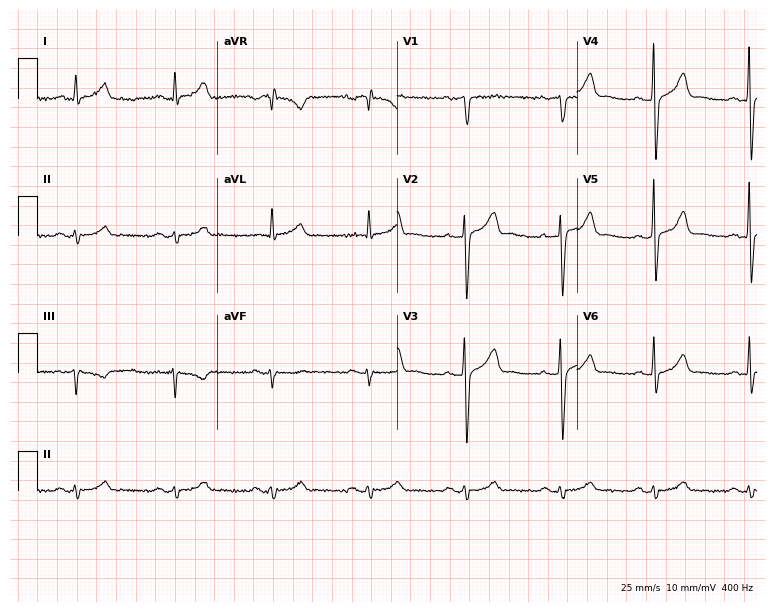
ECG (7.3-second recording at 400 Hz) — a 55-year-old male patient. Screened for six findings — first-degree AV block, right bundle branch block, left bundle branch block, sinus bradycardia, atrial fibrillation, sinus tachycardia — none is recorded.